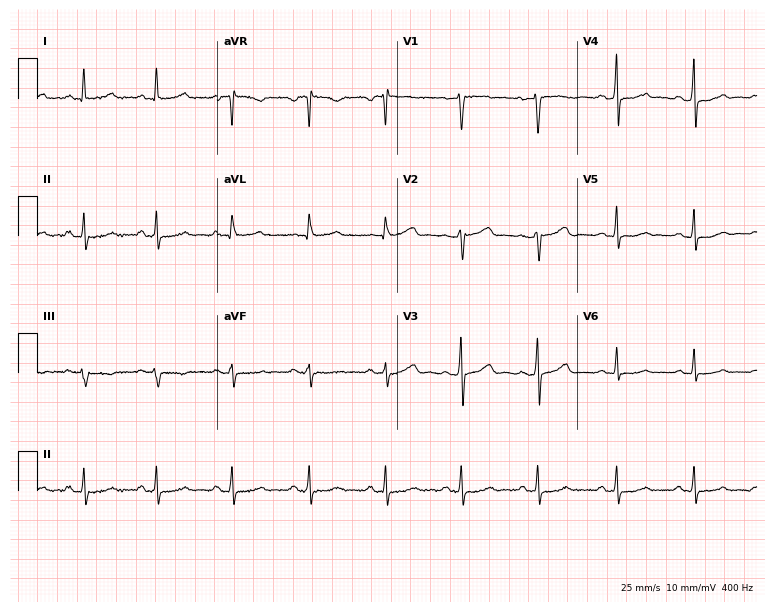
12-lead ECG from a woman, 46 years old (7.3-second recording at 400 Hz). Recorded interpretation: within normal limits.